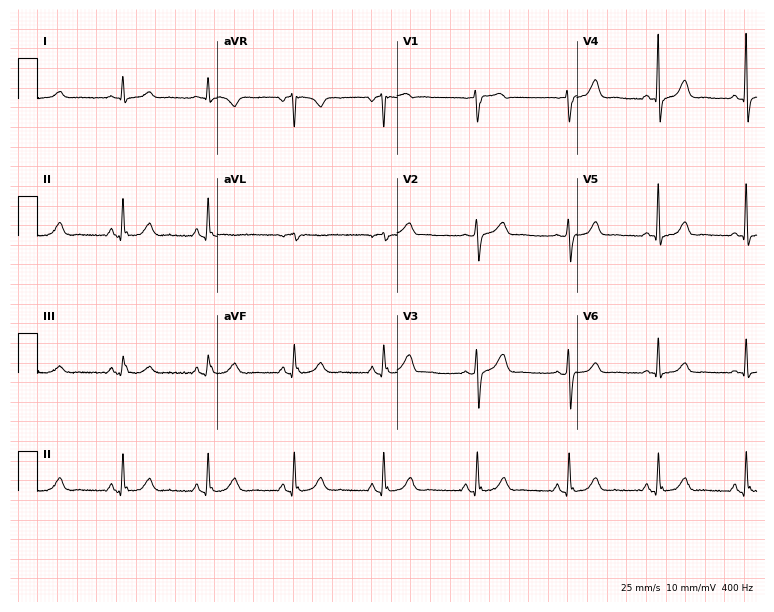
Electrocardiogram (7.3-second recording at 400 Hz), a 62-year-old female. Overall reading on record: normal ECG.